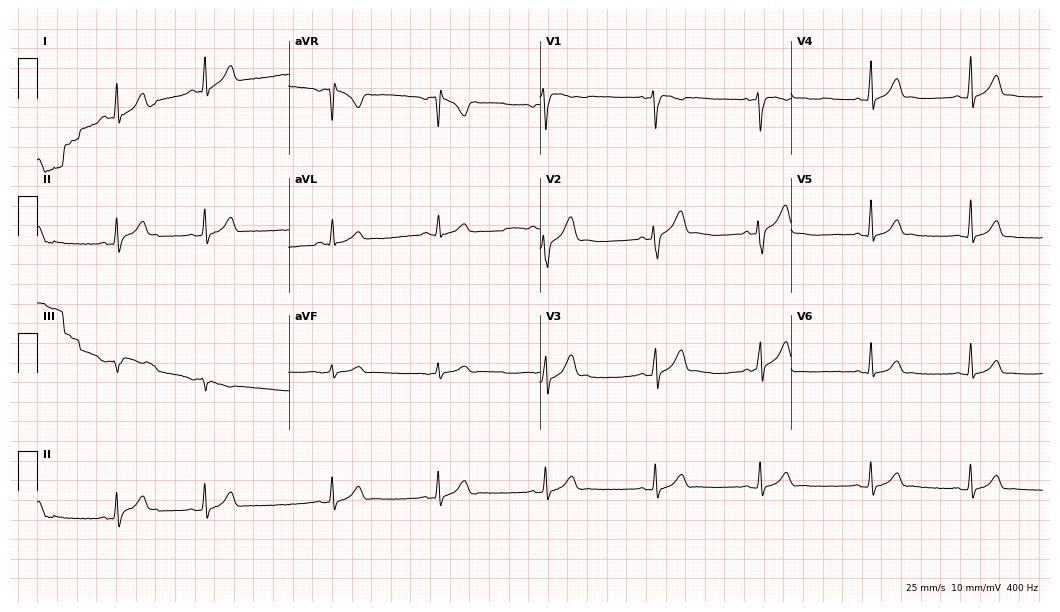
Electrocardiogram (10.2-second recording at 400 Hz), a 22-year-old male patient. Of the six screened findings (first-degree AV block, right bundle branch block (RBBB), left bundle branch block (LBBB), sinus bradycardia, atrial fibrillation (AF), sinus tachycardia), none is recorded. Only these six findings were labelled.